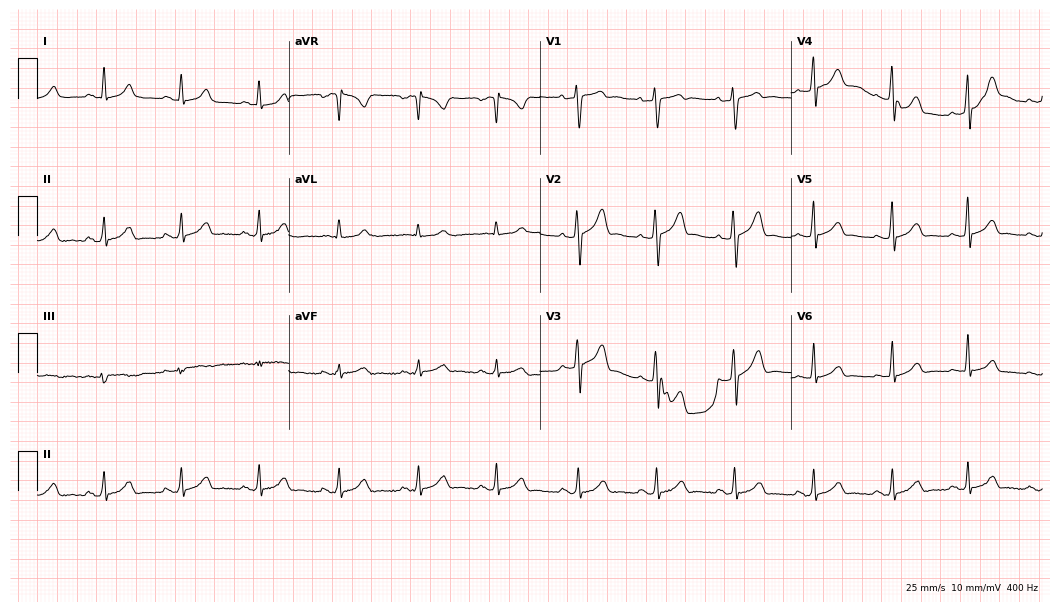
Resting 12-lead electrocardiogram (10.2-second recording at 400 Hz). Patient: a male, 23 years old. None of these six findings is recorded: first-degree AV block, right bundle branch block, left bundle branch block, sinus bradycardia, atrial fibrillation, sinus tachycardia.